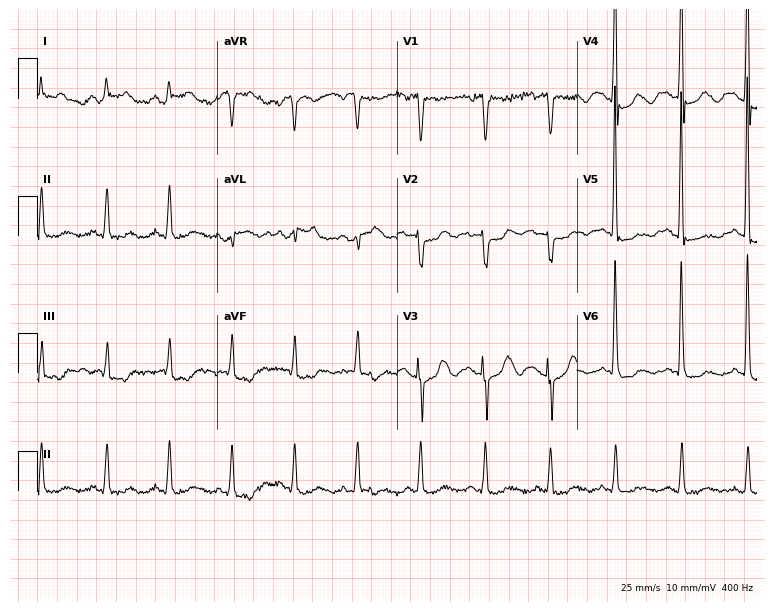
12-lead ECG from a 77-year-old male (7.3-second recording at 400 Hz). No first-degree AV block, right bundle branch block (RBBB), left bundle branch block (LBBB), sinus bradycardia, atrial fibrillation (AF) or sinus tachycardia recorded for this tracing. Other findings, if any, are not listed.